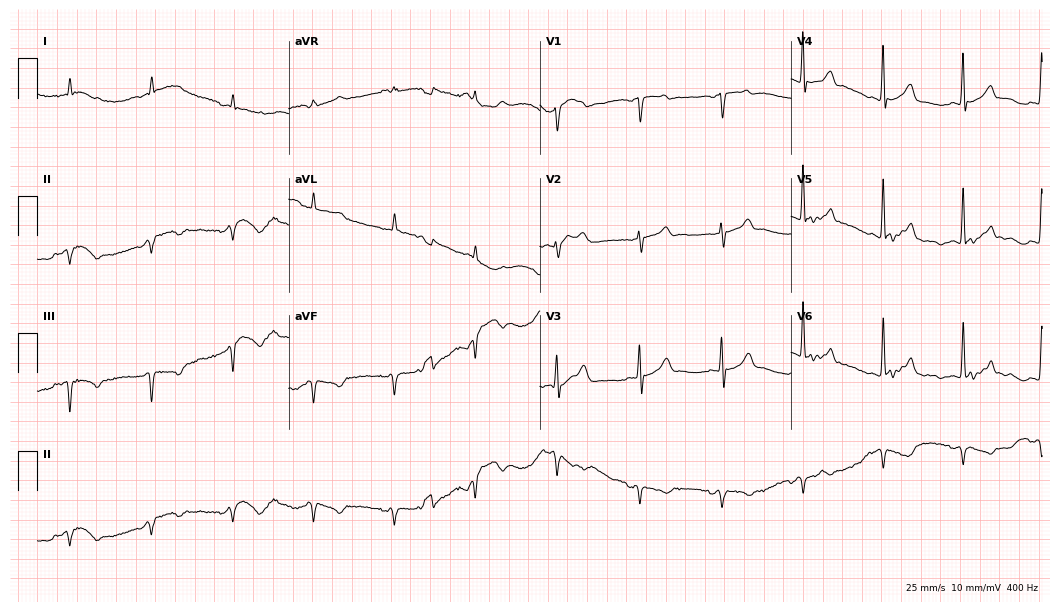
Standard 12-lead ECG recorded from an 82-year-old female (10.2-second recording at 400 Hz). Read as a normal ECG.